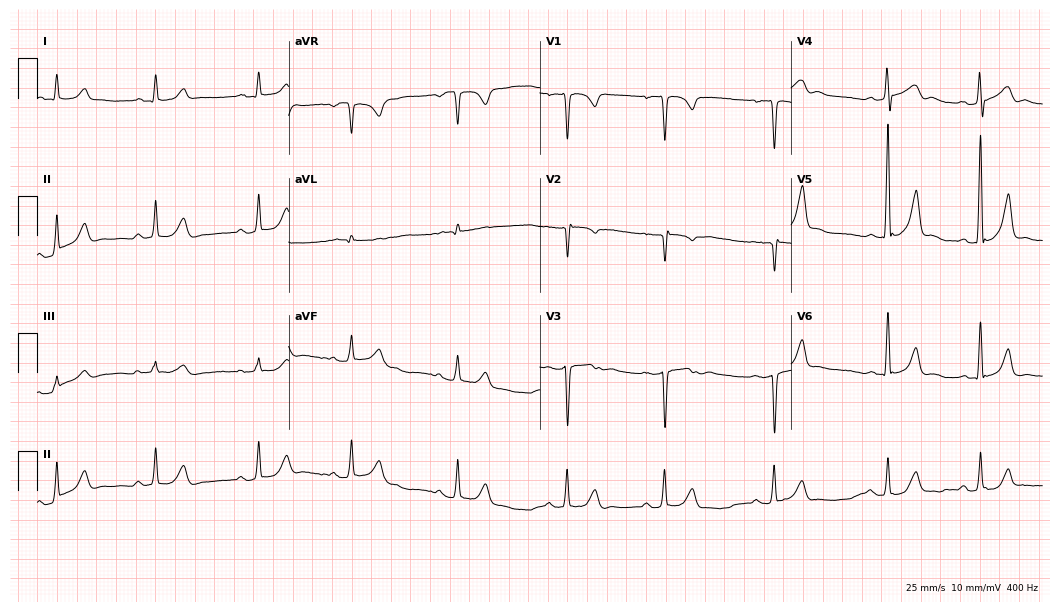
Resting 12-lead electrocardiogram. Patient: a male, 25 years old. Read as a normal ECG.